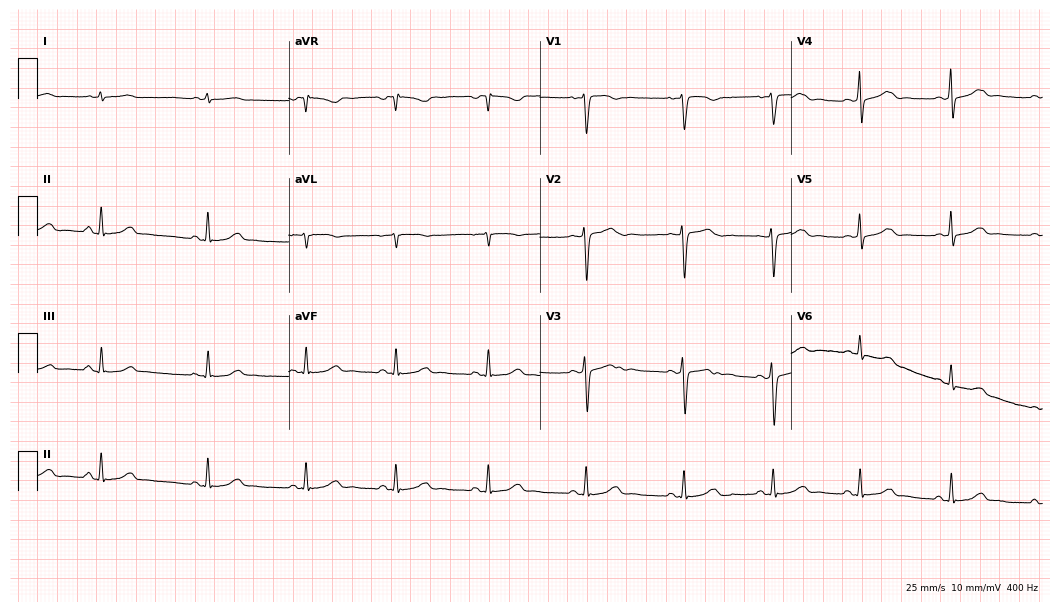
Standard 12-lead ECG recorded from a 38-year-old female. None of these six findings is recorded: first-degree AV block, right bundle branch block, left bundle branch block, sinus bradycardia, atrial fibrillation, sinus tachycardia.